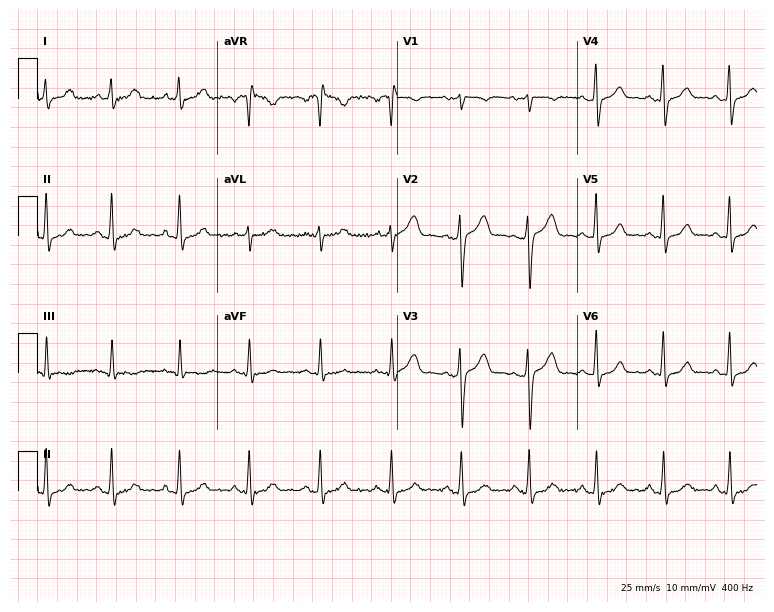
Resting 12-lead electrocardiogram (7.3-second recording at 400 Hz). Patient: a woman, 45 years old. Read as a normal ECG.